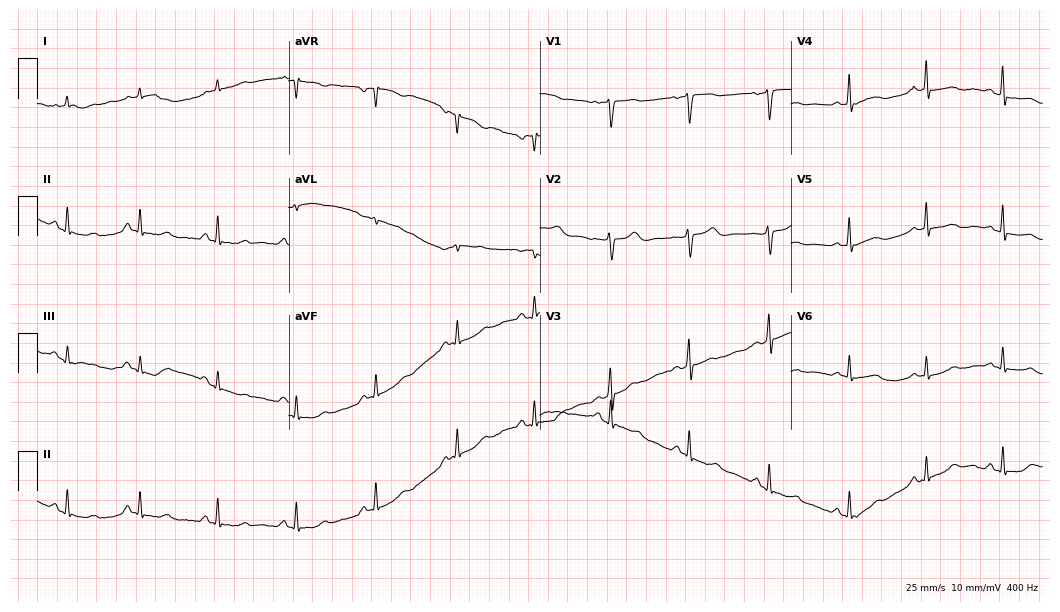
Electrocardiogram (10.2-second recording at 400 Hz), a 55-year-old woman. Overall reading on record: normal ECG.